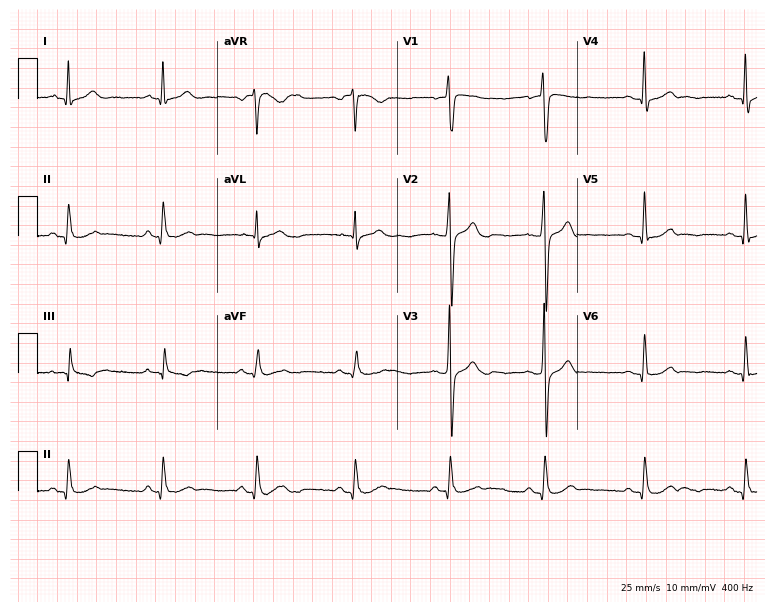
ECG — a 46-year-old male. Labelled as a normal ECG.